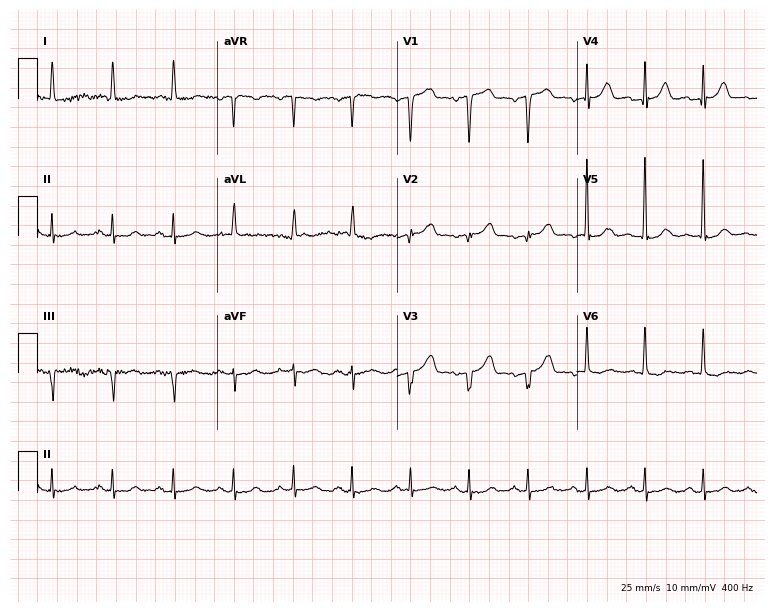
12-lead ECG from a 73-year-old female patient. No first-degree AV block, right bundle branch block (RBBB), left bundle branch block (LBBB), sinus bradycardia, atrial fibrillation (AF) or sinus tachycardia recorded for this tracing. Other findings, if any, are not listed.